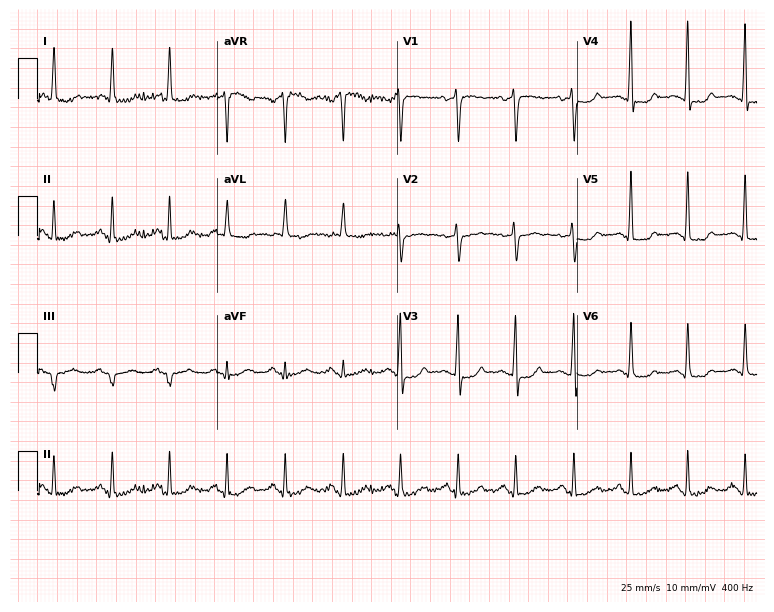
Standard 12-lead ECG recorded from a female, 49 years old. The tracing shows sinus tachycardia (a sinus rate of 100 beats per minute or more).